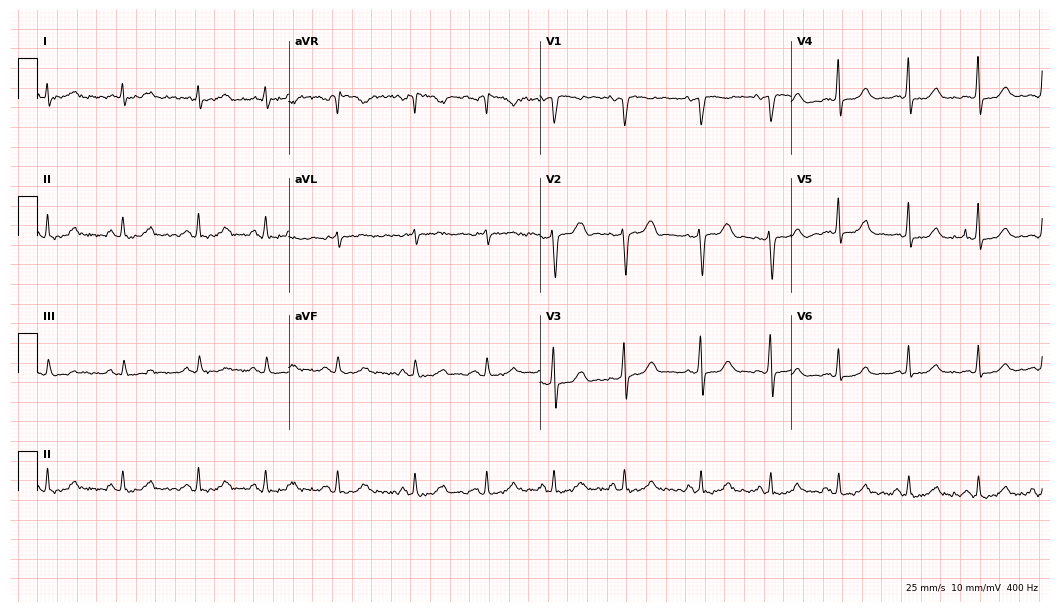
ECG — a 45-year-old female. Screened for six findings — first-degree AV block, right bundle branch block (RBBB), left bundle branch block (LBBB), sinus bradycardia, atrial fibrillation (AF), sinus tachycardia — none is recorded. Findings outside these six are not listed.